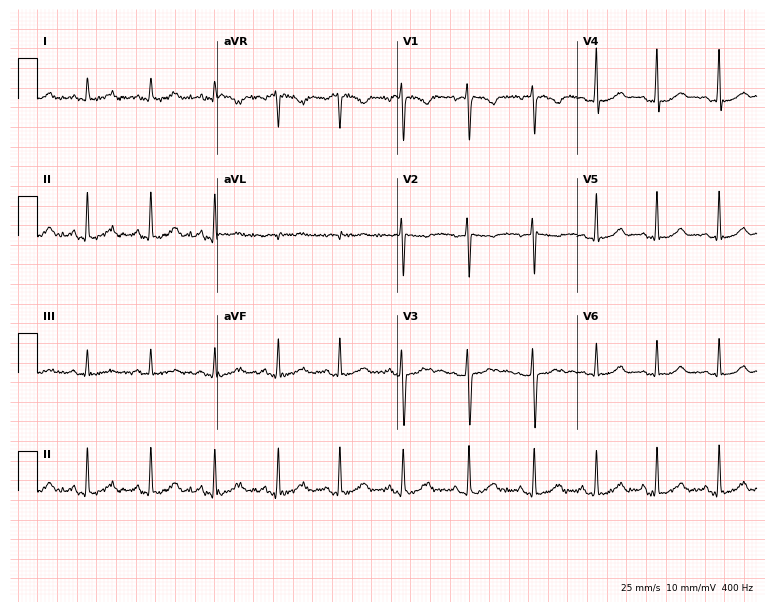
ECG — a 32-year-old female patient. Labelled as a normal ECG.